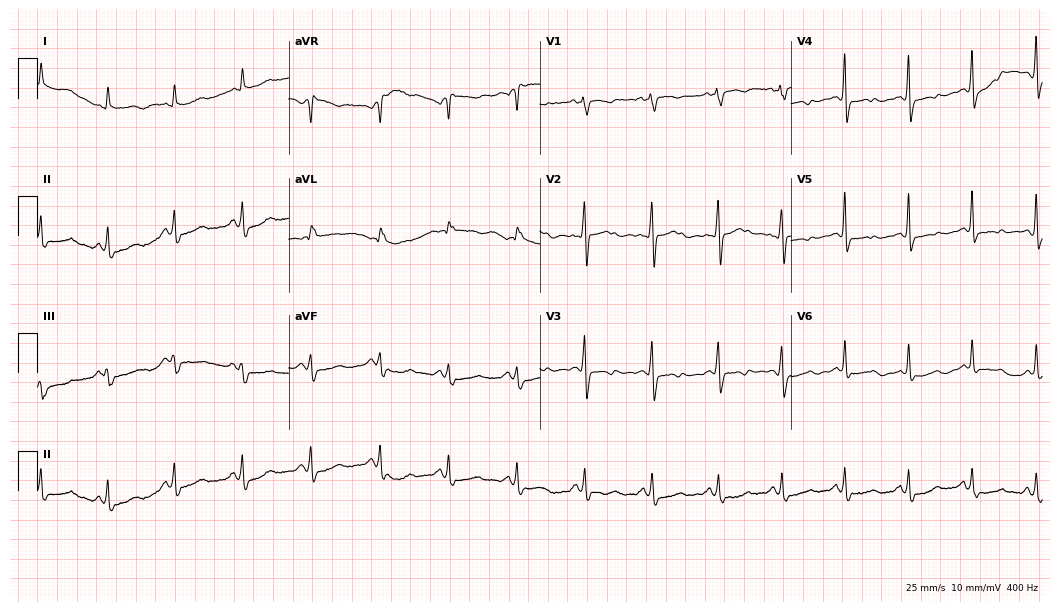
ECG — a woman, 56 years old. Screened for six findings — first-degree AV block, right bundle branch block, left bundle branch block, sinus bradycardia, atrial fibrillation, sinus tachycardia — none is recorded. Other findings, if any, are not listed.